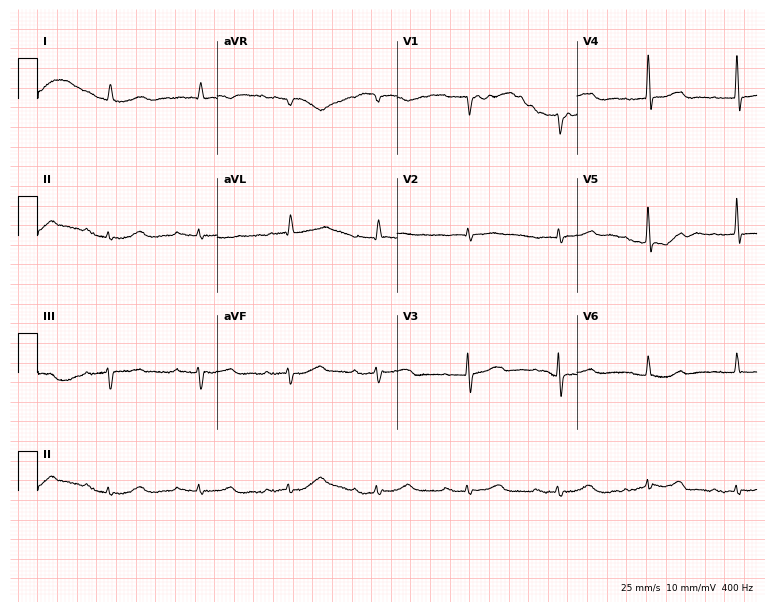
12-lead ECG from a woman, 76 years old. Findings include first-degree AV block.